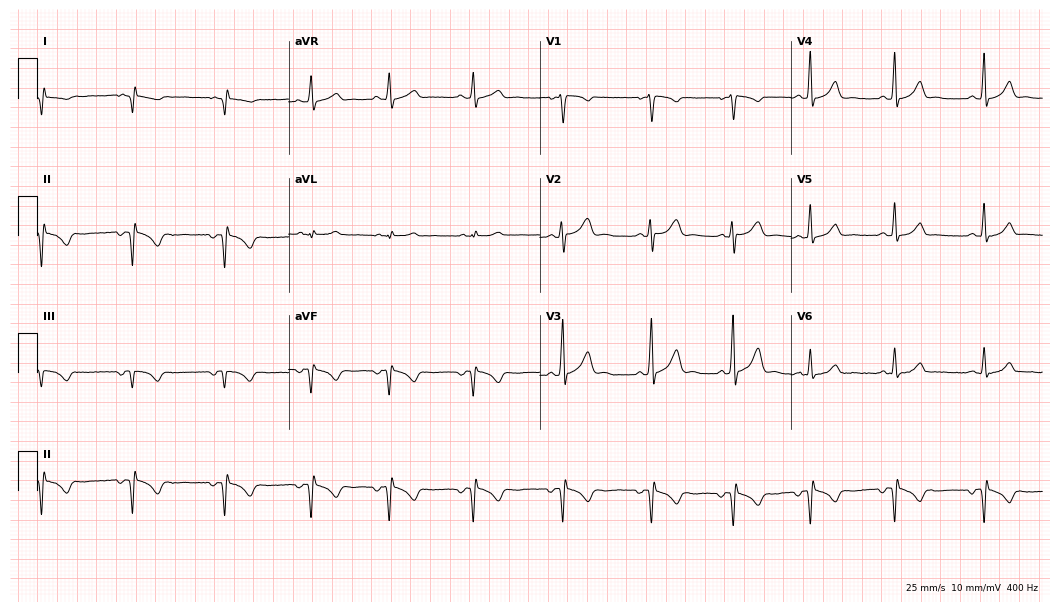
12-lead ECG from a woman, 18 years old (10.2-second recording at 400 Hz). Recorded interpretation: within normal limits.